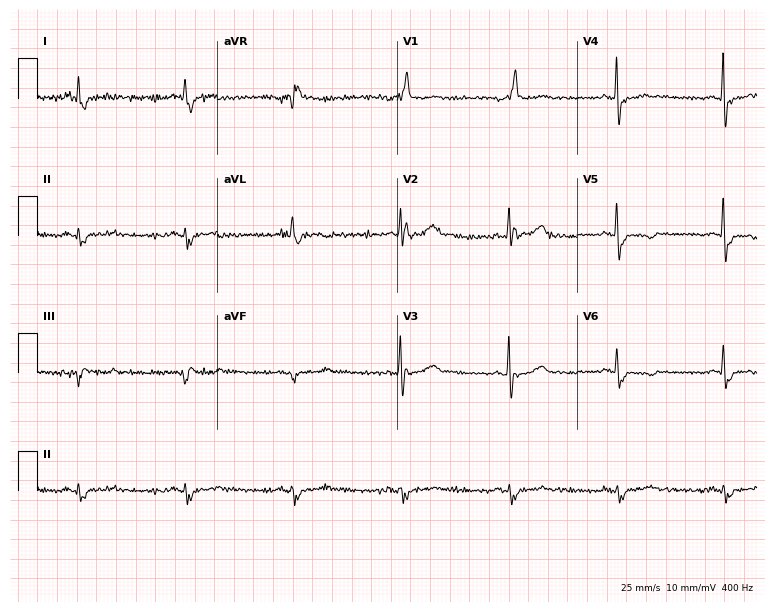
Resting 12-lead electrocardiogram. Patient: a 64-year-old man. None of these six findings is recorded: first-degree AV block, right bundle branch block, left bundle branch block, sinus bradycardia, atrial fibrillation, sinus tachycardia. Other findings, if any, are not listed.